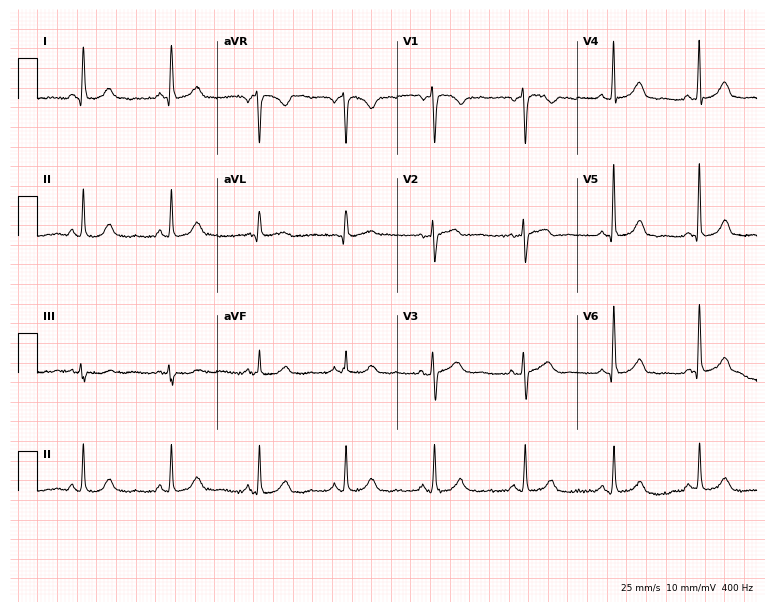
ECG — a female, 64 years old. Screened for six findings — first-degree AV block, right bundle branch block, left bundle branch block, sinus bradycardia, atrial fibrillation, sinus tachycardia — none is recorded.